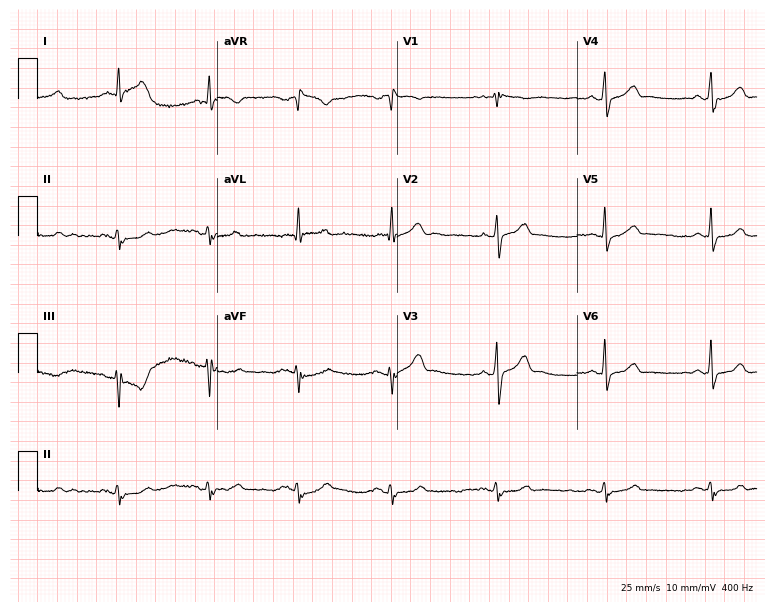
12-lead ECG (7.3-second recording at 400 Hz) from a 57-year-old male patient. Screened for six findings — first-degree AV block, right bundle branch block, left bundle branch block, sinus bradycardia, atrial fibrillation, sinus tachycardia — none is recorded.